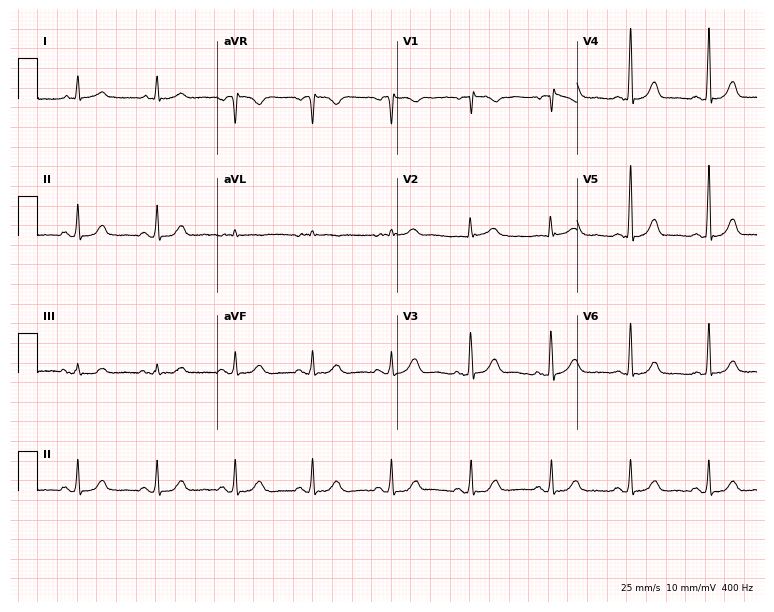
Electrocardiogram, a female, 66 years old. Of the six screened findings (first-degree AV block, right bundle branch block (RBBB), left bundle branch block (LBBB), sinus bradycardia, atrial fibrillation (AF), sinus tachycardia), none is recorded.